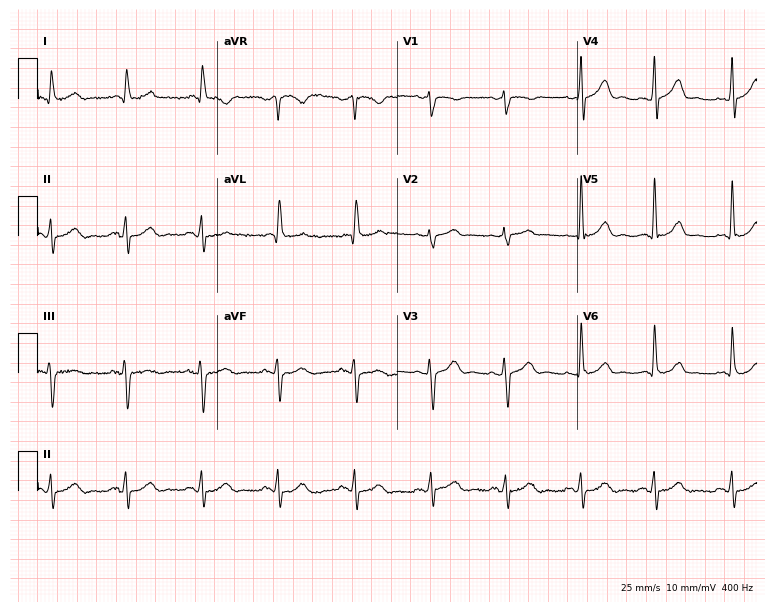
12-lead ECG from a female, 77 years old (7.3-second recording at 400 Hz). No first-degree AV block, right bundle branch block, left bundle branch block, sinus bradycardia, atrial fibrillation or sinus tachycardia recorded for this tracing.